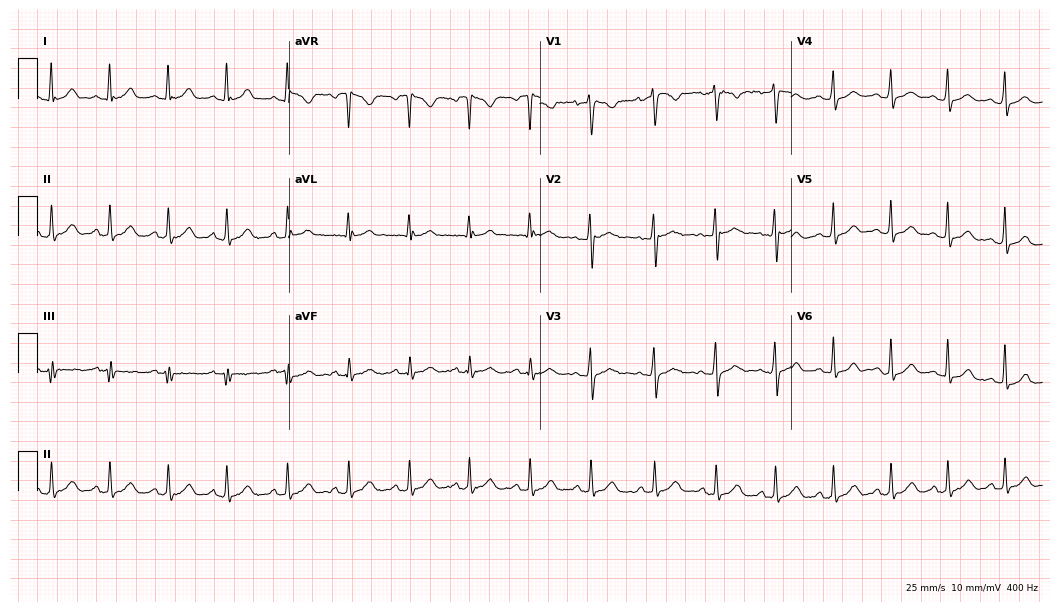
12-lead ECG from a female, 31 years old (10.2-second recording at 400 Hz). Recorded interpretation: within normal limits.